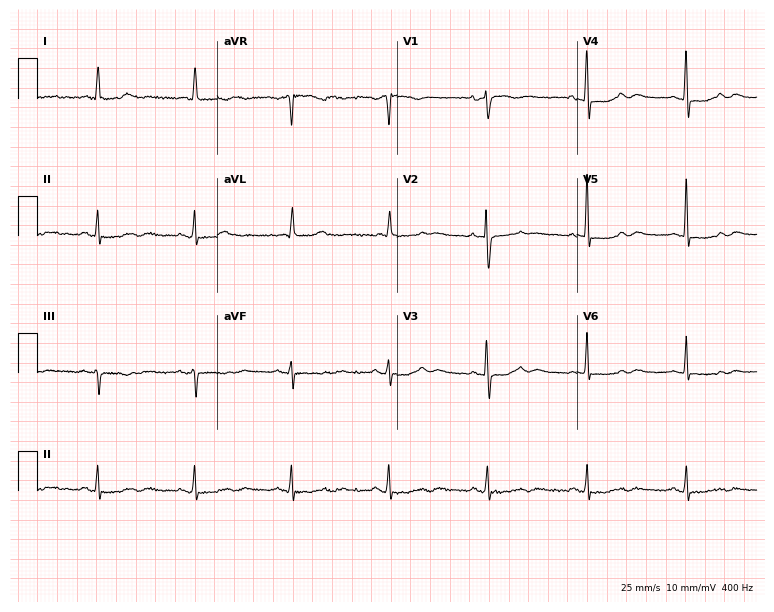
Standard 12-lead ECG recorded from a woman, 57 years old. None of these six findings is recorded: first-degree AV block, right bundle branch block (RBBB), left bundle branch block (LBBB), sinus bradycardia, atrial fibrillation (AF), sinus tachycardia. Only these six findings were labelled.